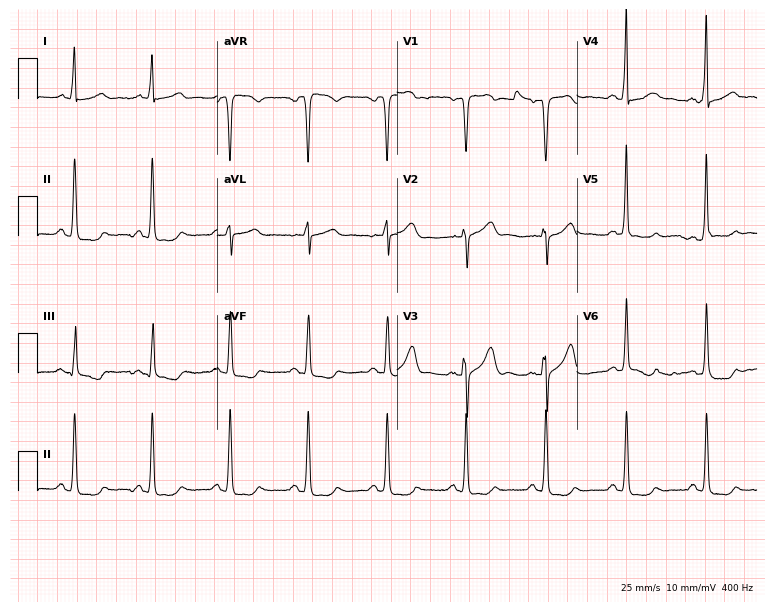
ECG — a 73-year-old man. Screened for six findings — first-degree AV block, right bundle branch block, left bundle branch block, sinus bradycardia, atrial fibrillation, sinus tachycardia — none is recorded. Other findings, if any, are not listed.